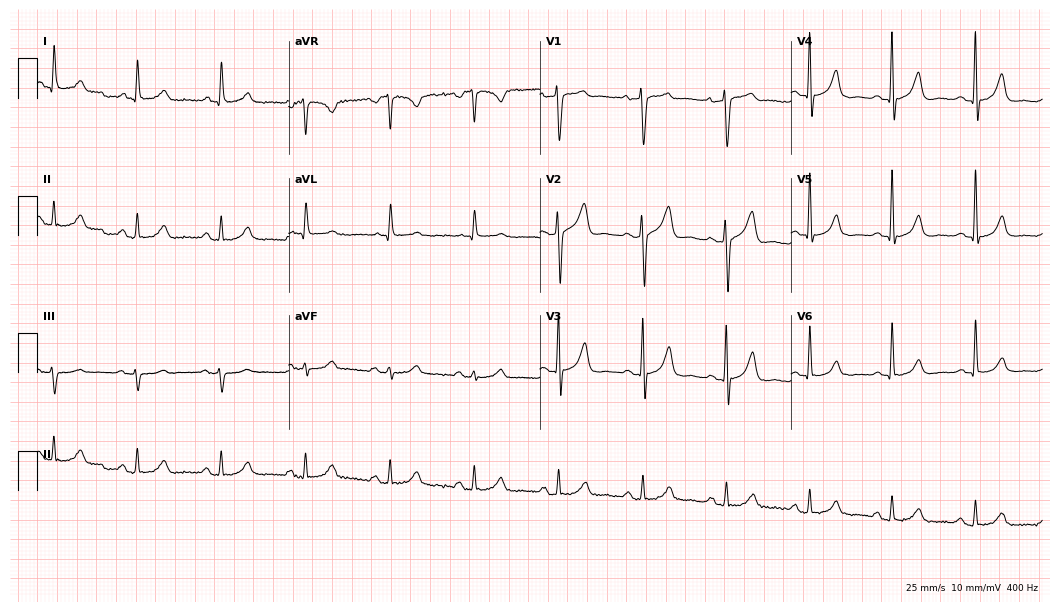
Resting 12-lead electrocardiogram. Patient: a 53-year-old male. None of these six findings is recorded: first-degree AV block, right bundle branch block, left bundle branch block, sinus bradycardia, atrial fibrillation, sinus tachycardia.